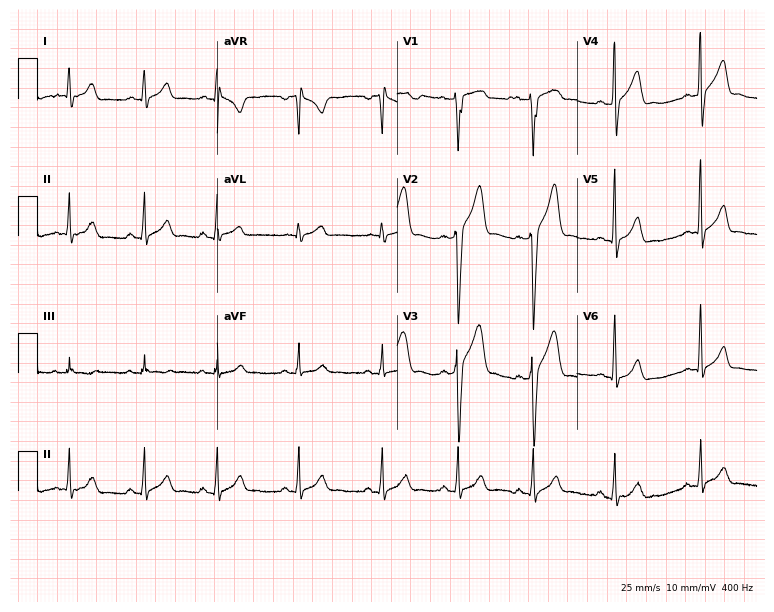
Electrocardiogram, a 20-year-old male patient. Overall reading on record: normal ECG.